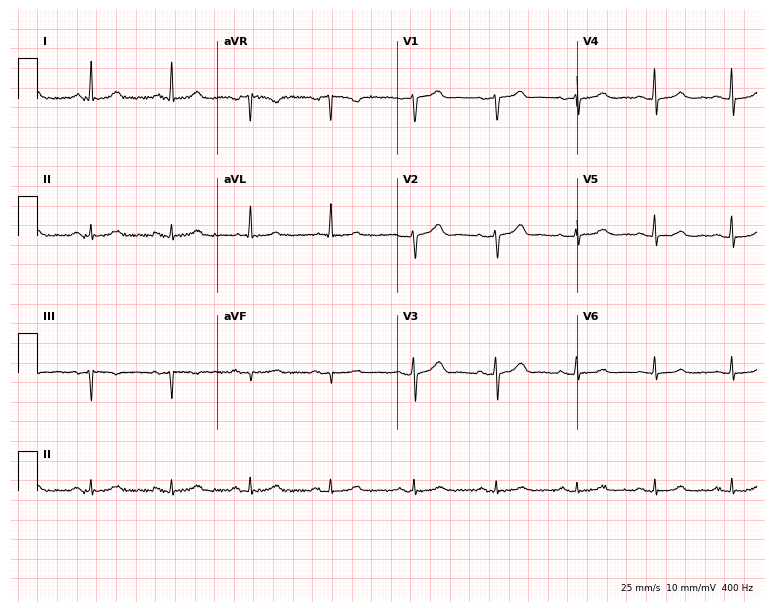
Electrocardiogram (7.3-second recording at 400 Hz), a 55-year-old female. Overall reading on record: normal ECG.